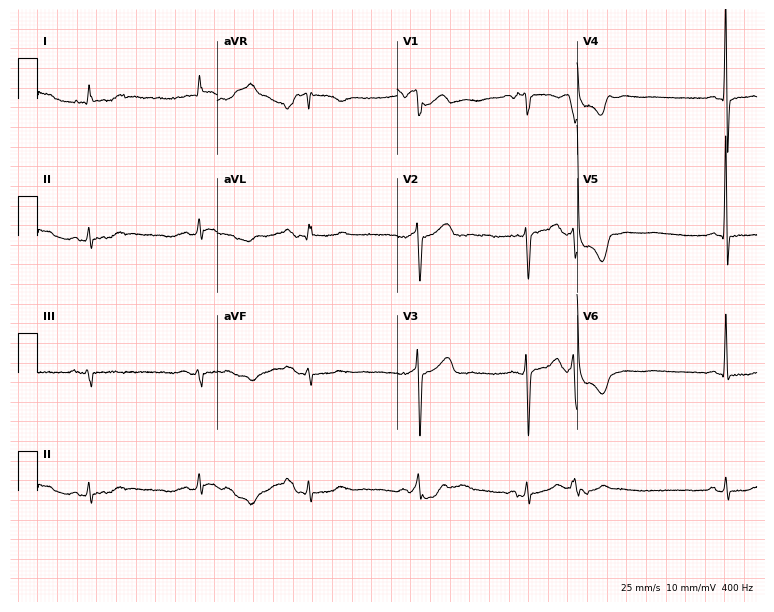
Electrocardiogram (7.3-second recording at 400 Hz), an 86-year-old man. Of the six screened findings (first-degree AV block, right bundle branch block (RBBB), left bundle branch block (LBBB), sinus bradycardia, atrial fibrillation (AF), sinus tachycardia), none is recorded. Only these six findings were labelled.